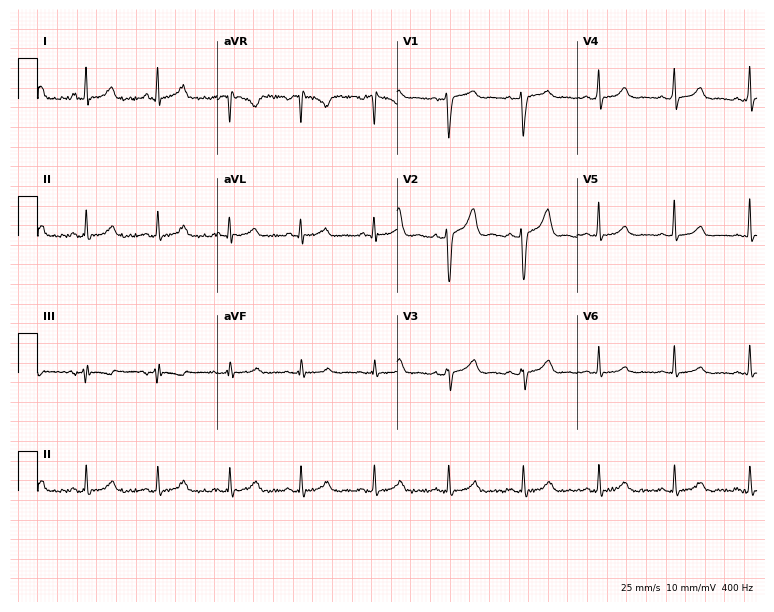
ECG — a female, 43 years old. Screened for six findings — first-degree AV block, right bundle branch block (RBBB), left bundle branch block (LBBB), sinus bradycardia, atrial fibrillation (AF), sinus tachycardia — none is recorded.